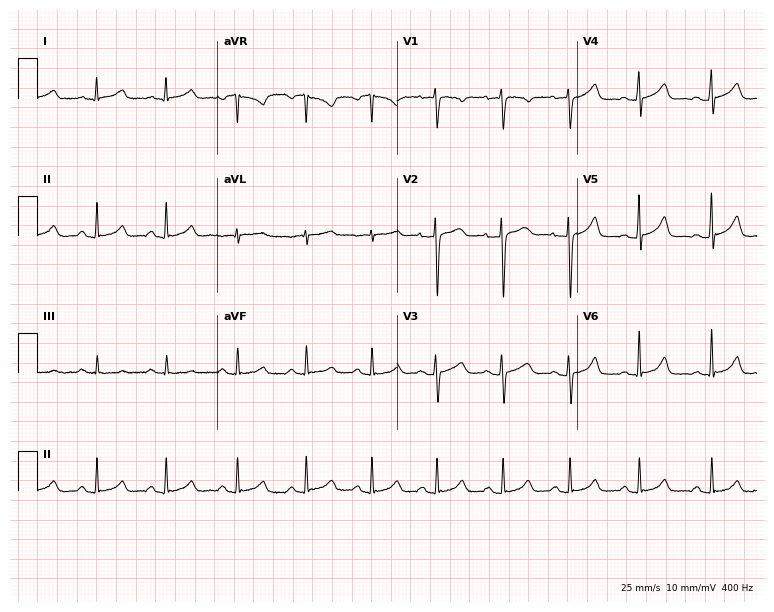
Standard 12-lead ECG recorded from a woman, 25 years old. Read as a normal ECG.